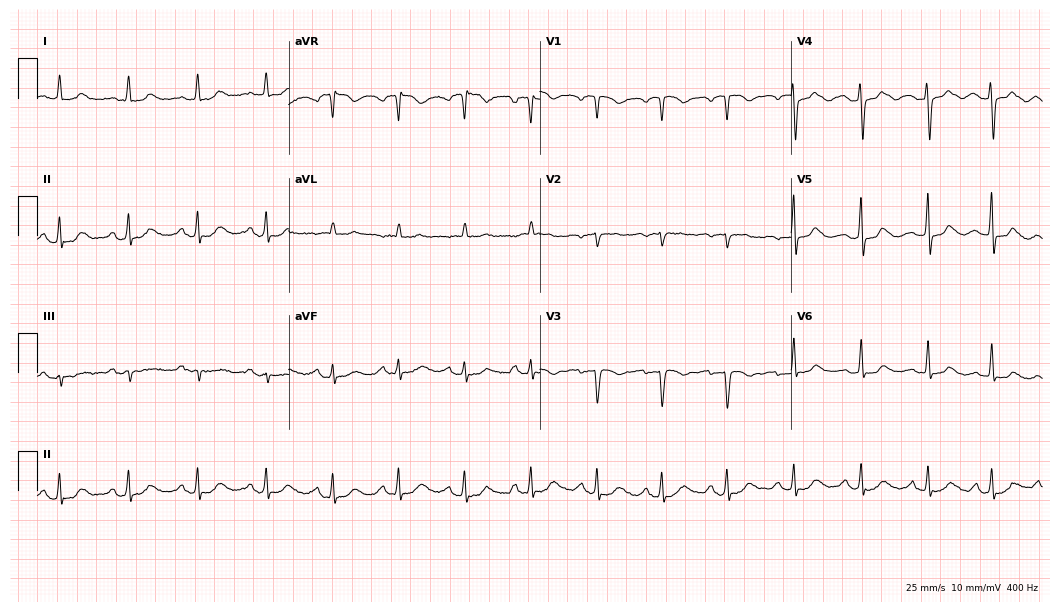
Standard 12-lead ECG recorded from a woman, 43 years old (10.2-second recording at 400 Hz). Read as a normal ECG.